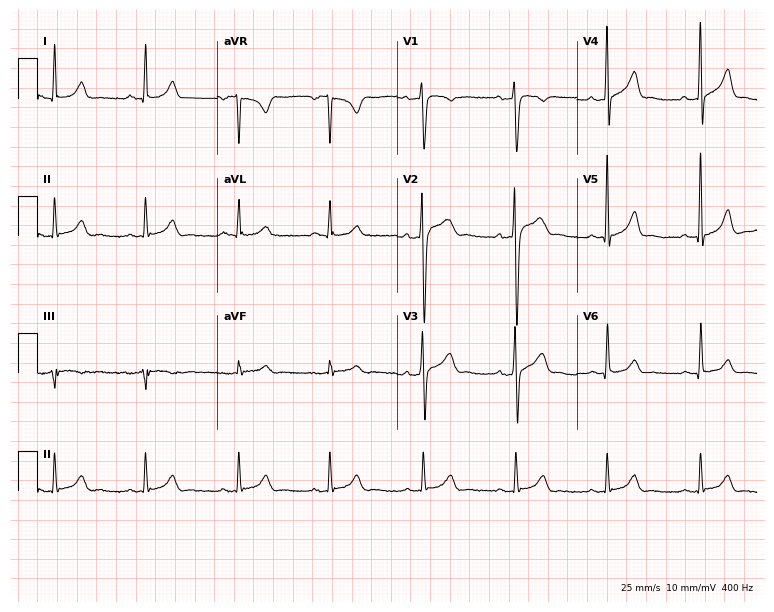
ECG (7.3-second recording at 400 Hz) — a male, 29 years old. Screened for six findings — first-degree AV block, right bundle branch block, left bundle branch block, sinus bradycardia, atrial fibrillation, sinus tachycardia — none is recorded. Only these six findings were labelled.